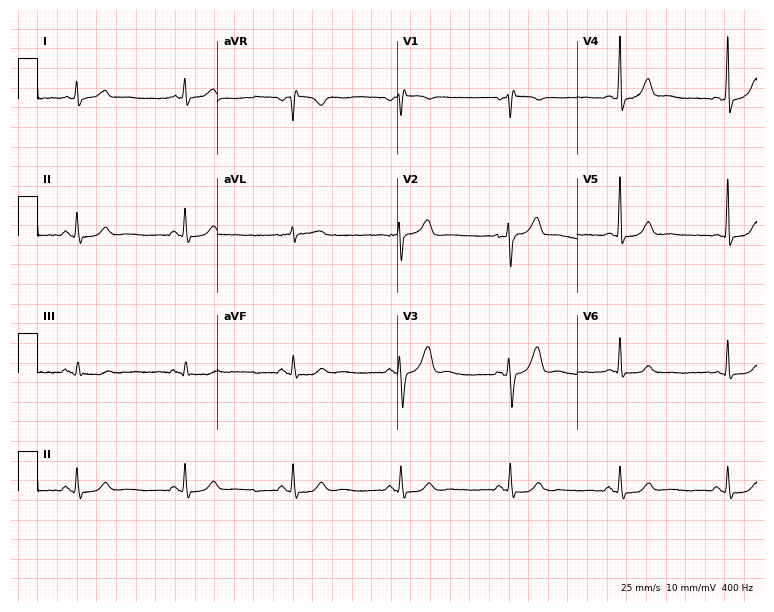
12-lead ECG from a 43-year-old man. Labelled as a normal ECG.